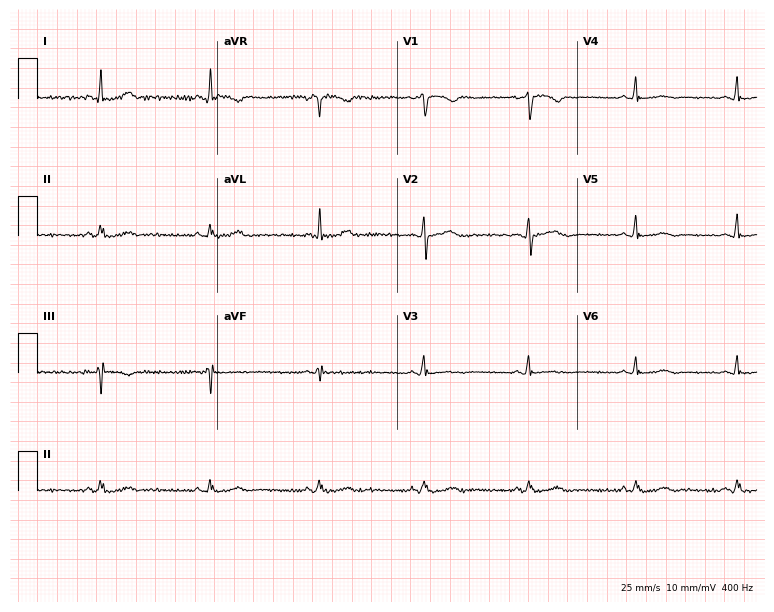
ECG — a 54-year-old woman. Screened for six findings — first-degree AV block, right bundle branch block, left bundle branch block, sinus bradycardia, atrial fibrillation, sinus tachycardia — none is recorded.